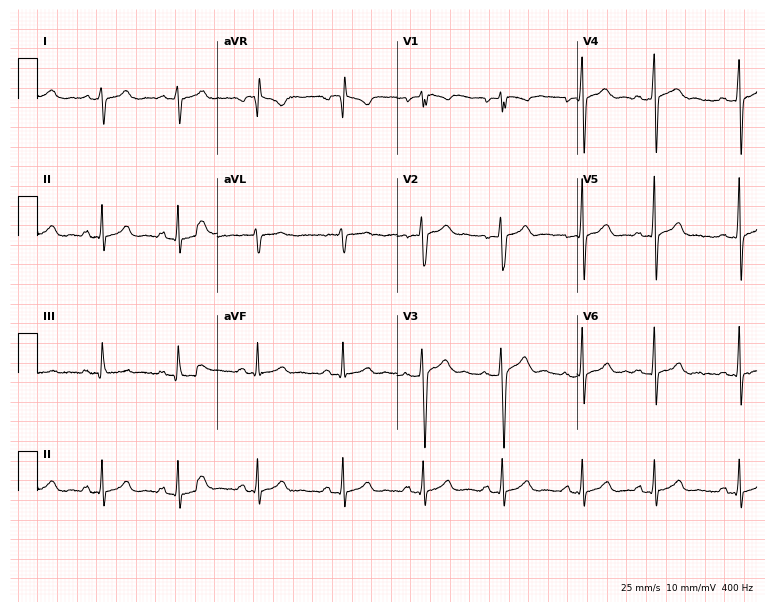
Resting 12-lead electrocardiogram. Patient: a 20-year-old male. None of these six findings is recorded: first-degree AV block, right bundle branch block (RBBB), left bundle branch block (LBBB), sinus bradycardia, atrial fibrillation (AF), sinus tachycardia. Findings outside these six are not listed.